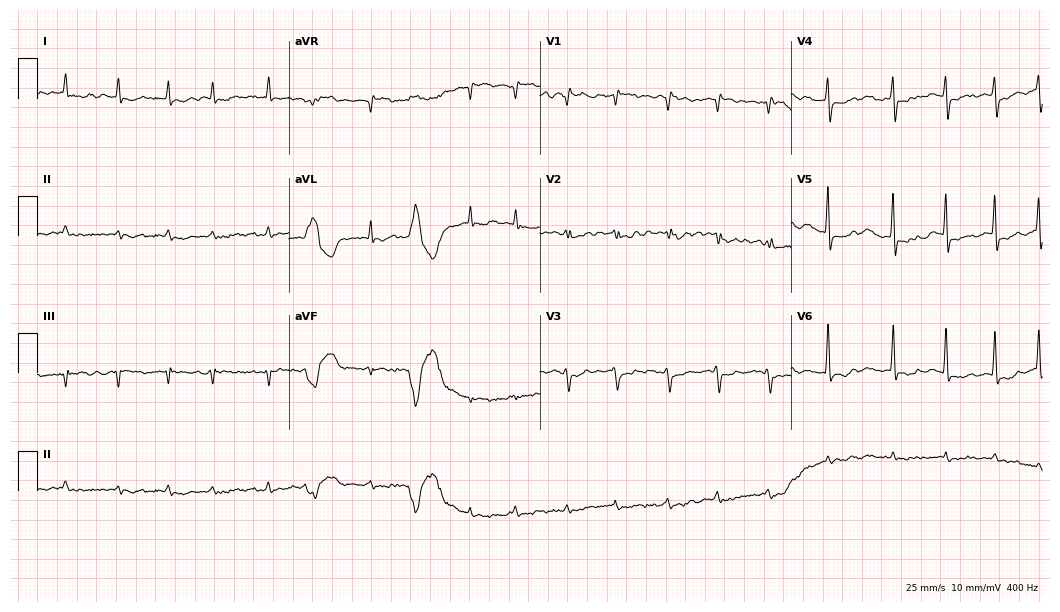
ECG — a female patient, 78 years old. Findings include atrial fibrillation.